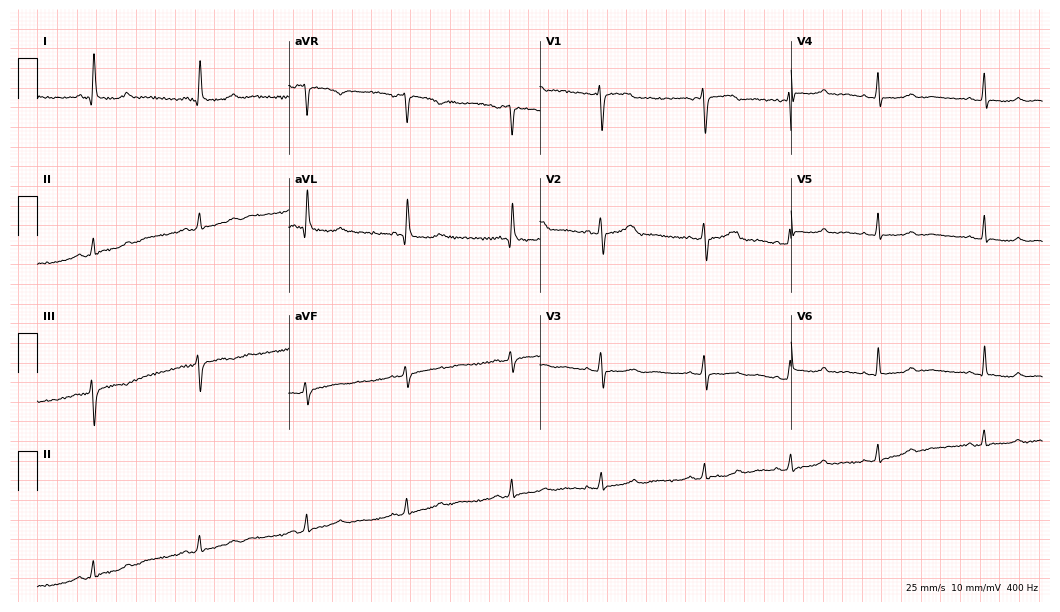
Standard 12-lead ECG recorded from a 58-year-old female patient (10.2-second recording at 400 Hz). None of these six findings is recorded: first-degree AV block, right bundle branch block, left bundle branch block, sinus bradycardia, atrial fibrillation, sinus tachycardia.